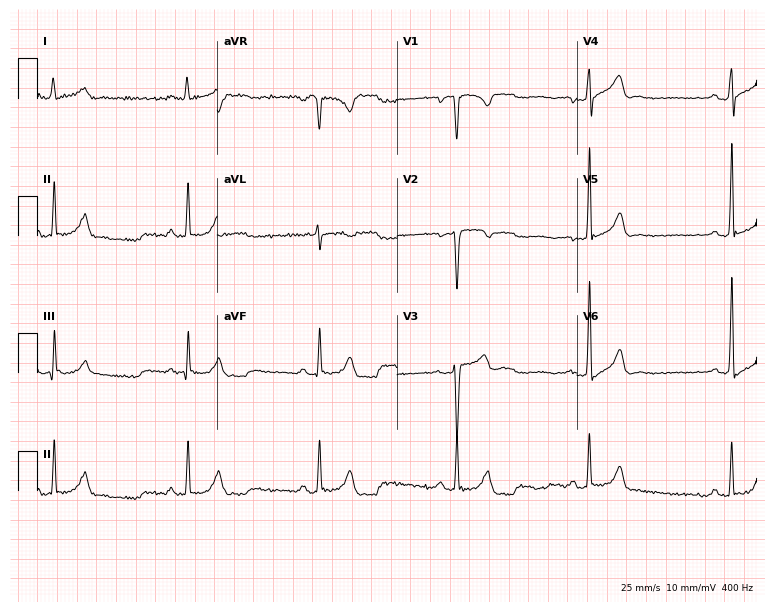
12-lead ECG from a male patient, 37 years old. Screened for six findings — first-degree AV block, right bundle branch block, left bundle branch block, sinus bradycardia, atrial fibrillation, sinus tachycardia — none is recorded. Only these six findings were labelled.